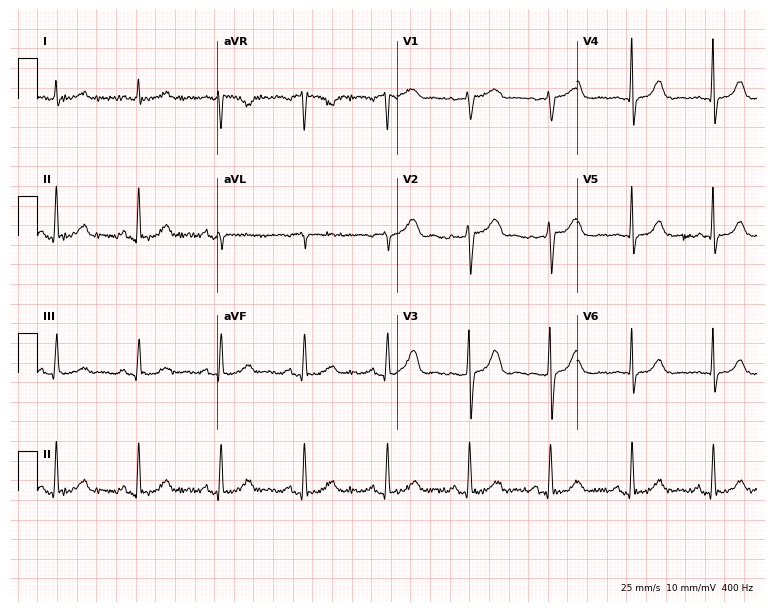
ECG — a woman, 70 years old. Labelled as a normal ECG.